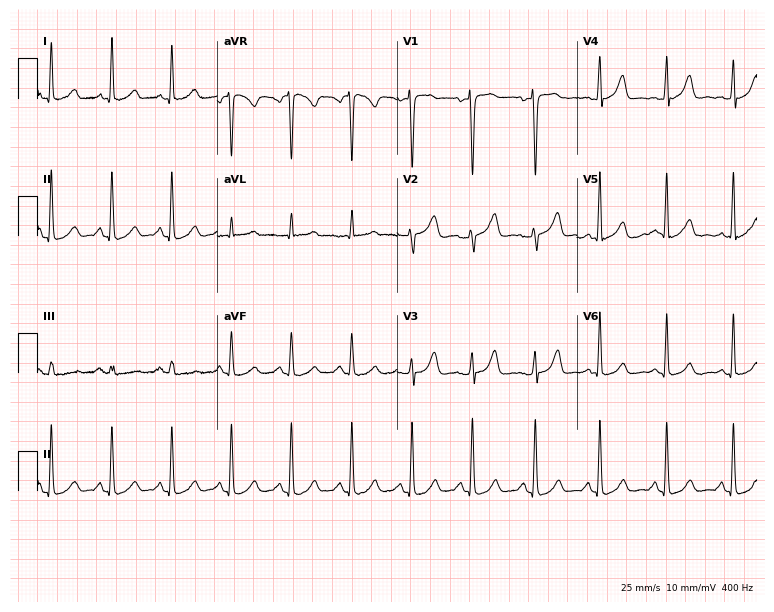
ECG — a 47-year-old female patient. Screened for six findings — first-degree AV block, right bundle branch block (RBBB), left bundle branch block (LBBB), sinus bradycardia, atrial fibrillation (AF), sinus tachycardia — none is recorded.